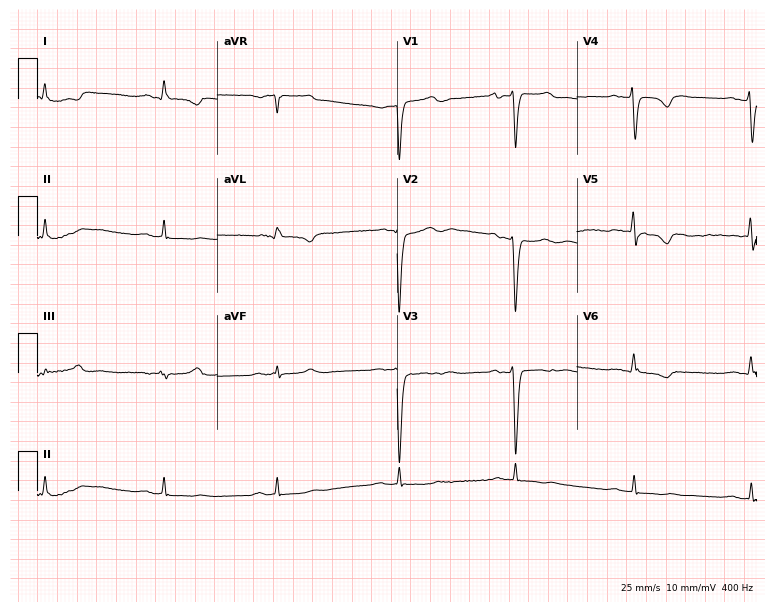
Resting 12-lead electrocardiogram. Patient: a man, 69 years old. None of these six findings is recorded: first-degree AV block, right bundle branch block (RBBB), left bundle branch block (LBBB), sinus bradycardia, atrial fibrillation (AF), sinus tachycardia.